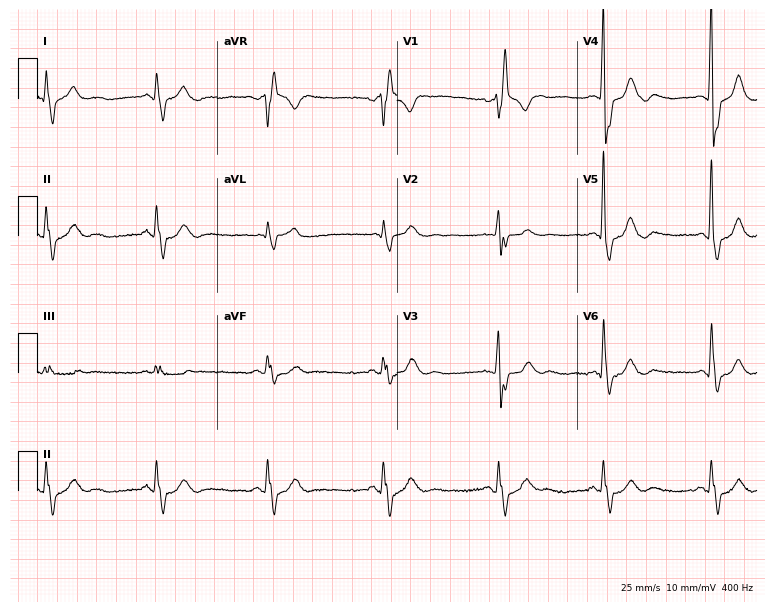
12-lead ECG (7.3-second recording at 400 Hz) from a 70-year-old man. Findings include right bundle branch block.